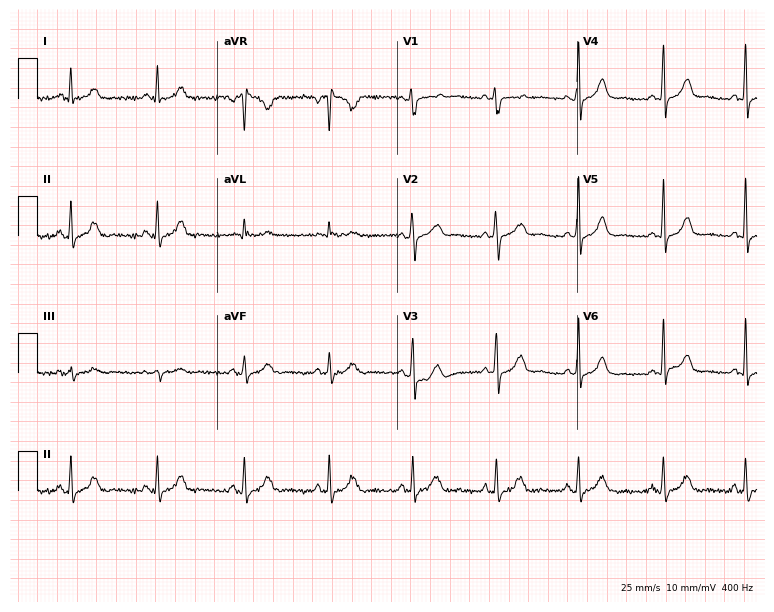
ECG — a 43-year-old female. Labelled as a normal ECG.